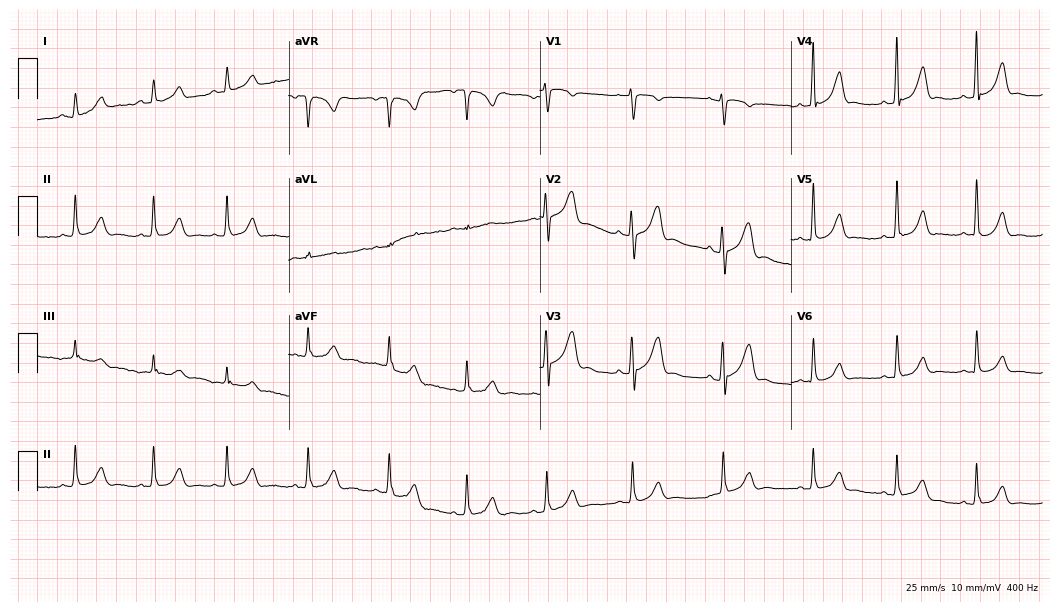
Electrocardiogram (10.2-second recording at 400 Hz), a woman, 36 years old. Overall reading on record: normal ECG.